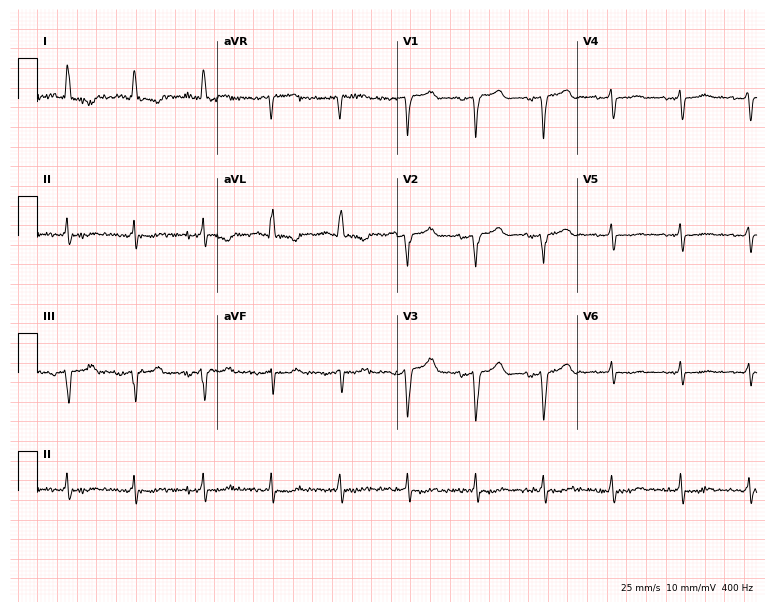
Electrocardiogram, a 71-year-old woman. Of the six screened findings (first-degree AV block, right bundle branch block, left bundle branch block, sinus bradycardia, atrial fibrillation, sinus tachycardia), none is recorded.